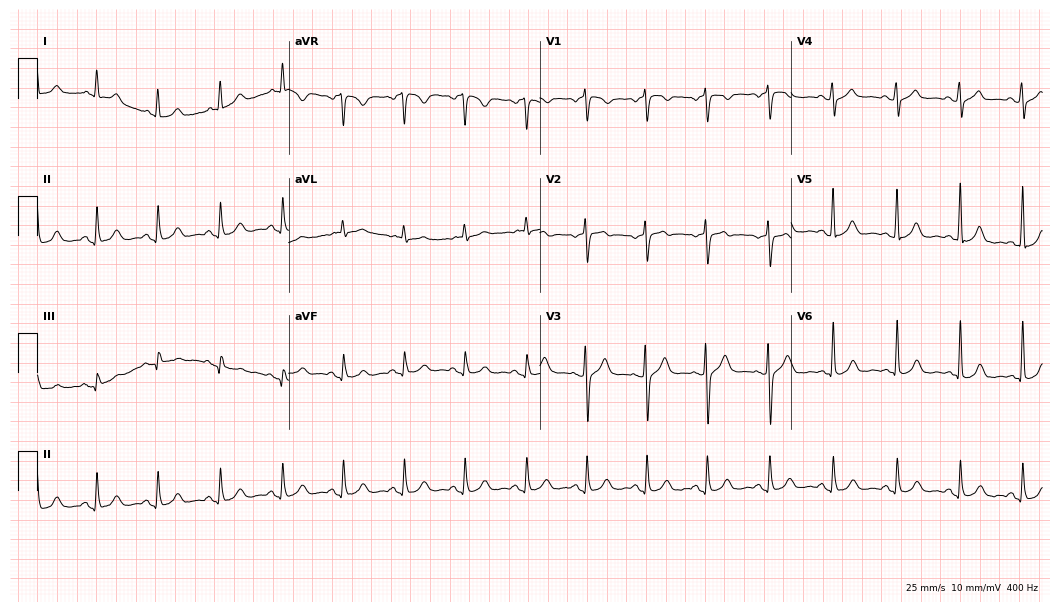
Electrocardiogram (10.2-second recording at 400 Hz), a 64-year-old female. Overall reading on record: normal ECG.